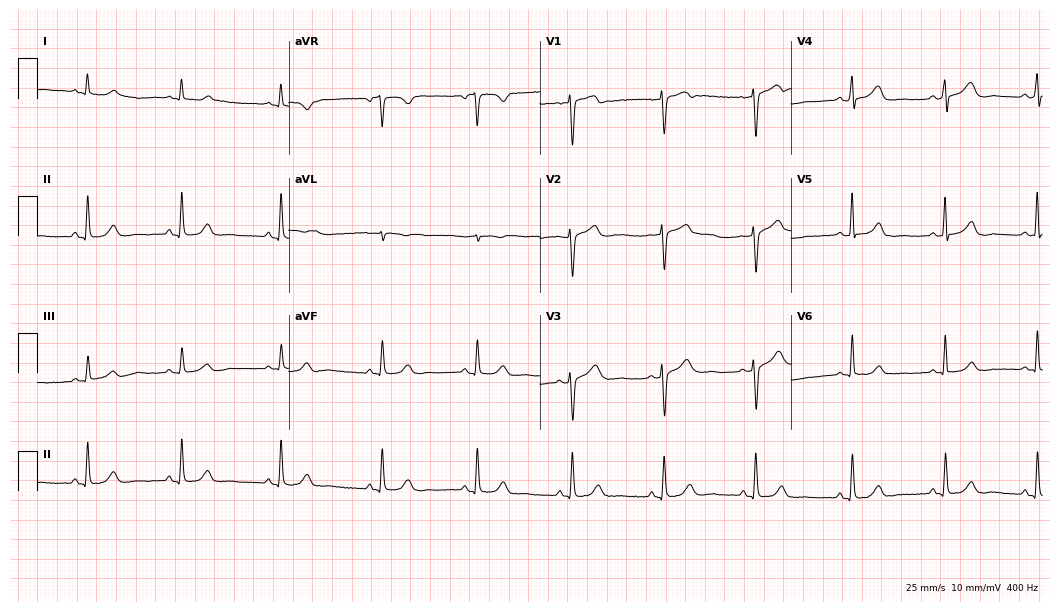
12-lead ECG from a female, 51 years old (10.2-second recording at 400 Hz). Recorded interpretation: within normal limits.